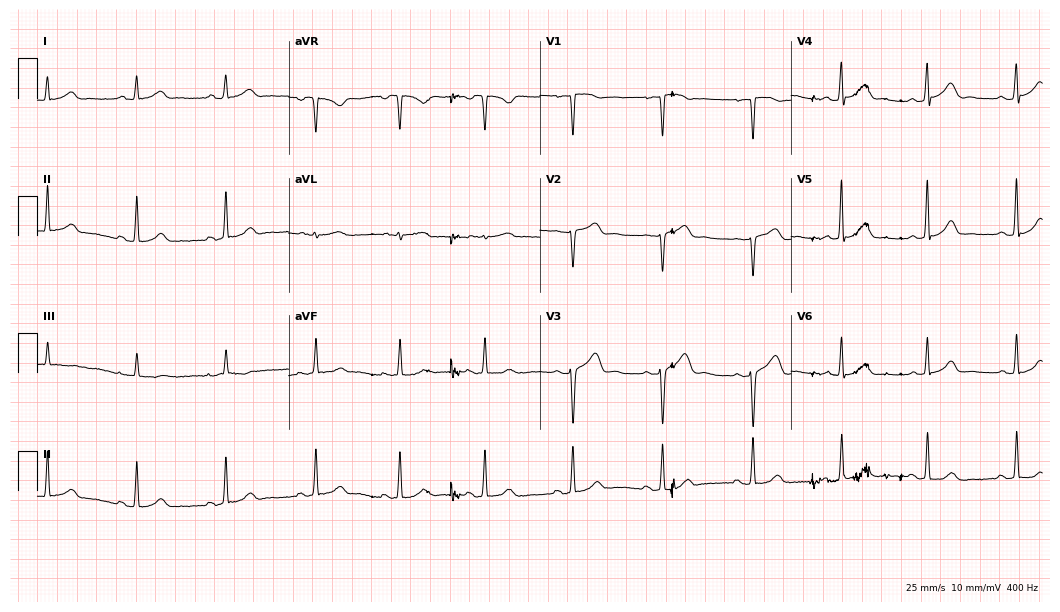
ECG (10.2-second recording at 400 Hz) — a 32-year-old female. Screened for six findings — first-degree AV block, right bundle branch block (RBBB), left bundle branch block (LBBB), sinus bradycardia, atrial fibrillation (AF), sinus tachycardia — none is recorded. Findings outside these six are not listed.